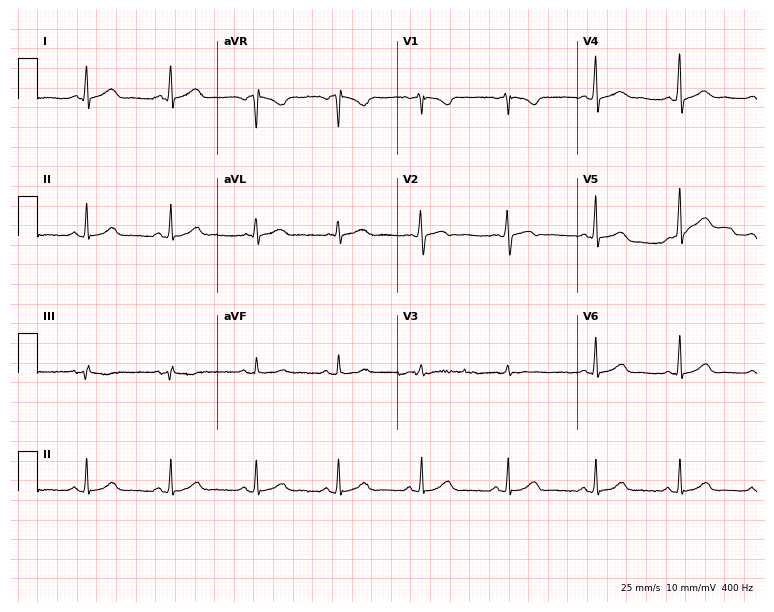
Standard 12-lead ECG recorded from a 57-year-old female patient (7.3-second recording at 400 Hz). Read as a normal ECG.